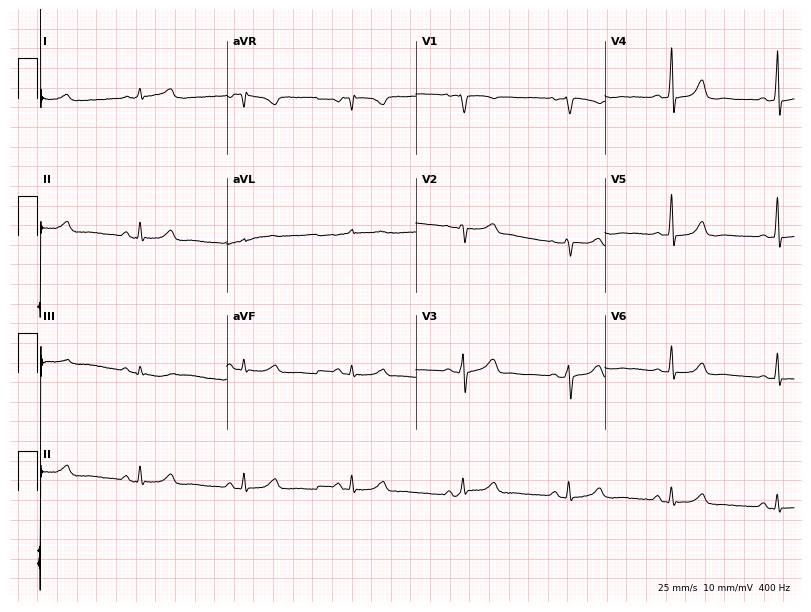
12-lead ECG from a 54-year-old female patient. Labelled as a normal ECG.